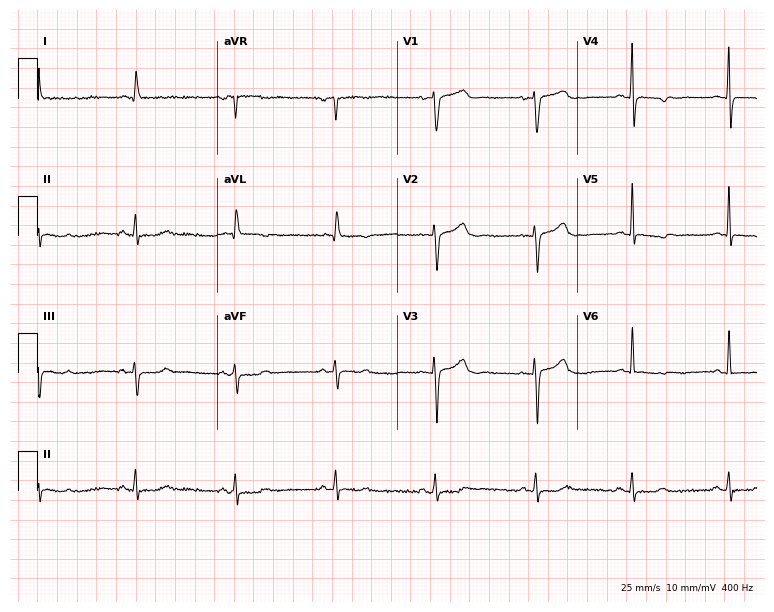
Standard 12-lead ECG recorded from a female patient, 64 years old. None of these six findings is recorded: first-degree AV block, right bundle branch block, left bundle branch block, sinus bradycardia, atrial fibrillation, sinus tachycardia. Findings outside these six are not listed.